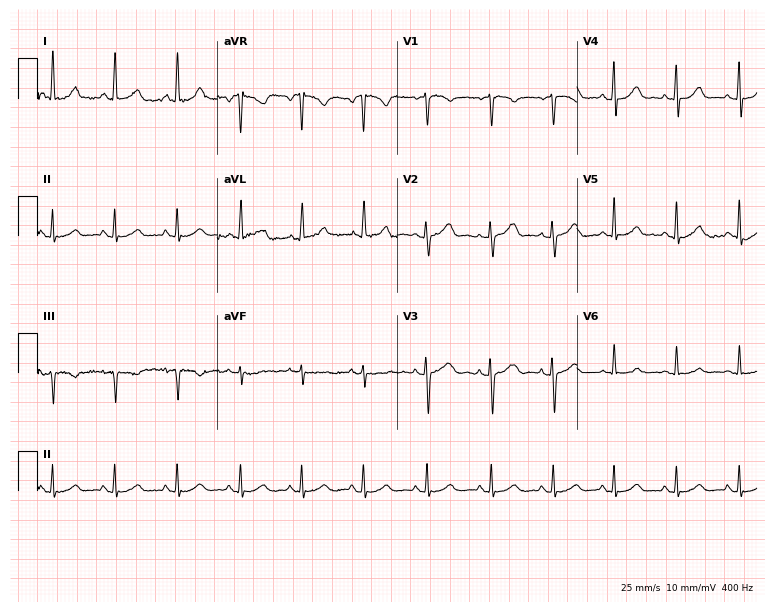
Electrocardiogram (7.3-second recording at 400 Hz), a female, 30 years old. Overall reading on record: normal ECG.